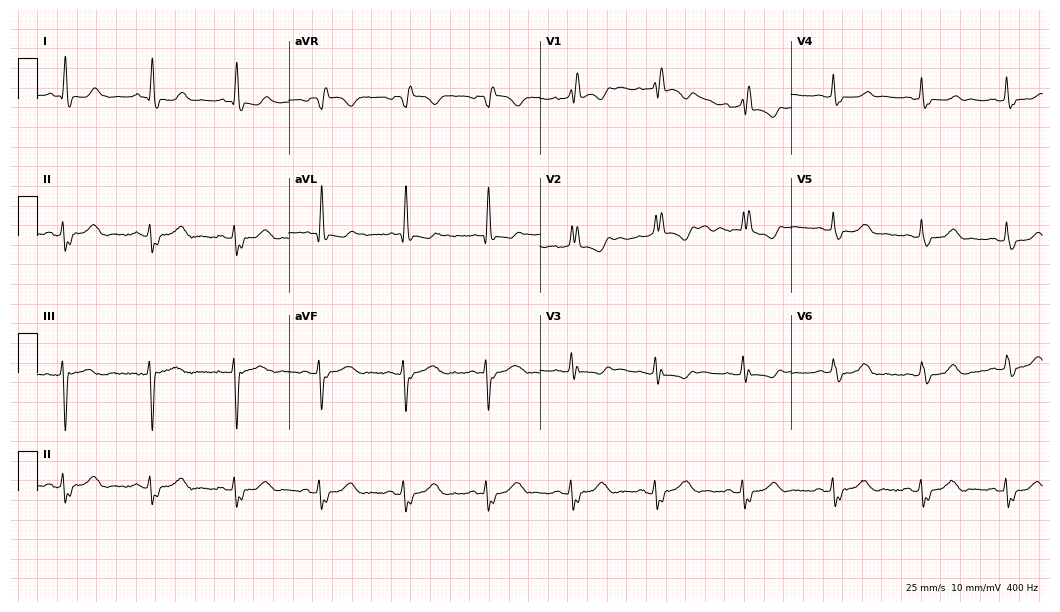
Resting 12-lead electrocardiogram. Patient: a 64-year-old female. None of these six findings is recorded: first-degree AV block, right bundle branch block (RBBB), left bundle branch block (LBBB), sinus bradycardia, atrial fibrillation (AF), sinus tachycardia. Other findings, if any, are not listed.